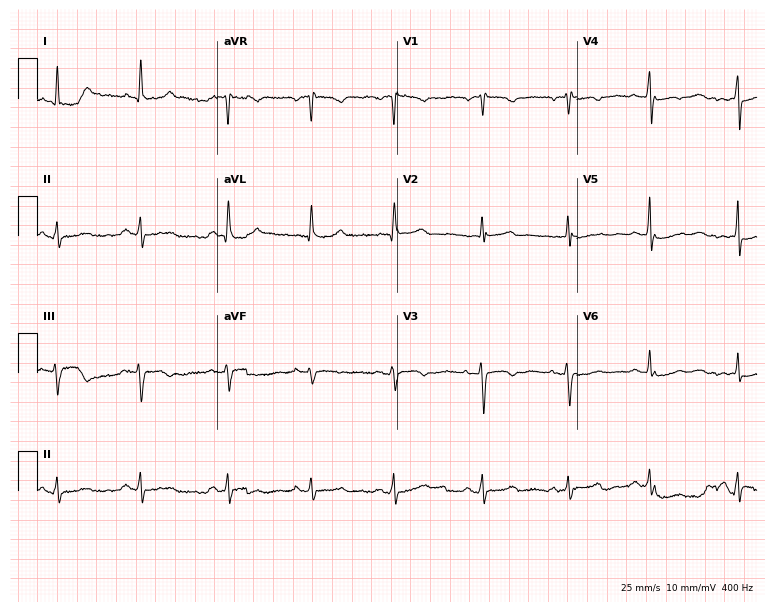
12-lead ECG (7.3-second recording at 400 Hz) from a female, 56 years old. Screened for six findings — first-degree AV block, right bundle branch block, left bundle branch block, sinus bradycardia, atrial fibrillation, sinus tachycardia — none is recorded. Other findings, if any, are not listed.